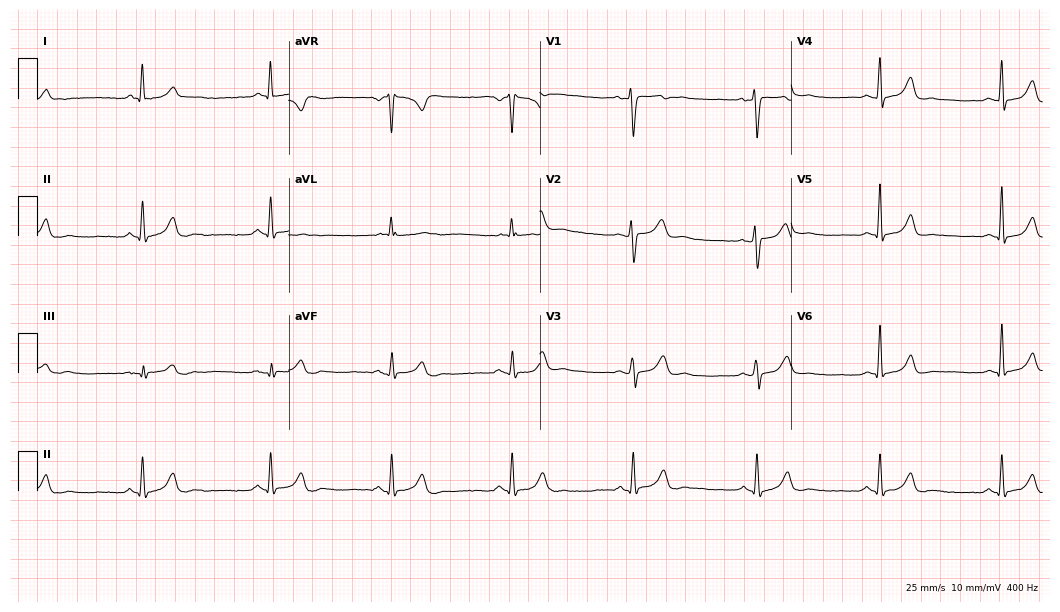
Electrocardiogram (10.2-second recording at 400 Hz), a 42-year-old woman. Interpretation includes sinus bradycardia (a sinus rate of 50 beats per minute or less).